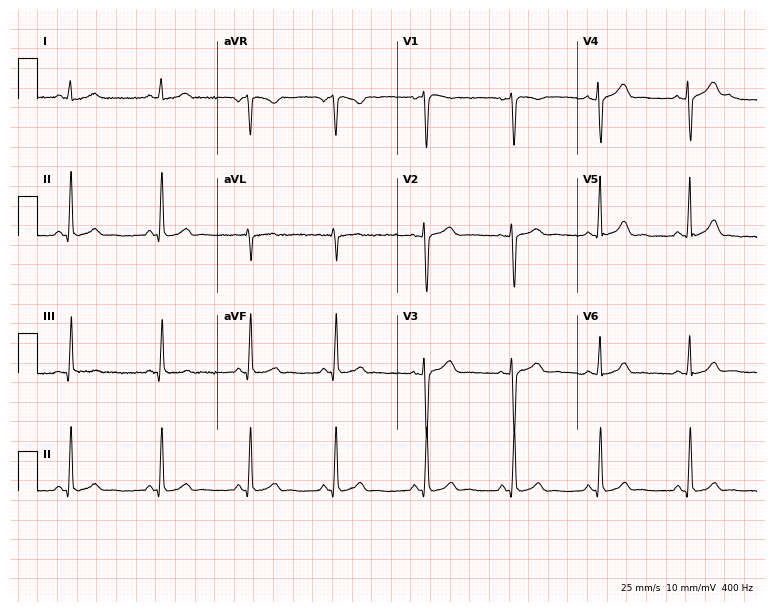
Resting 12-lead electrocardiogram. Patient: a 35-year-old woman. Read as a normal ECG.